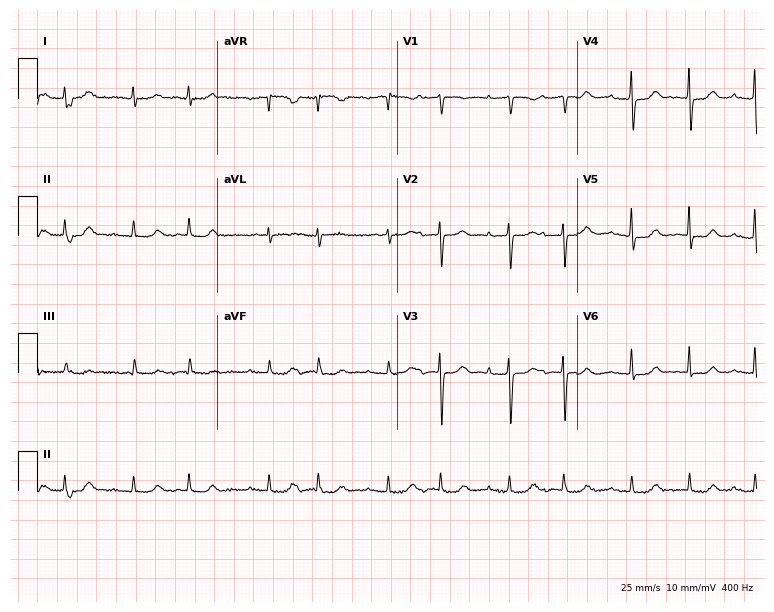
Resting 12-lead electrocardiogram (7.3-second recording at 400 Hz). Patient: a female, 81 years old. The tracing shows first-degree AV block.